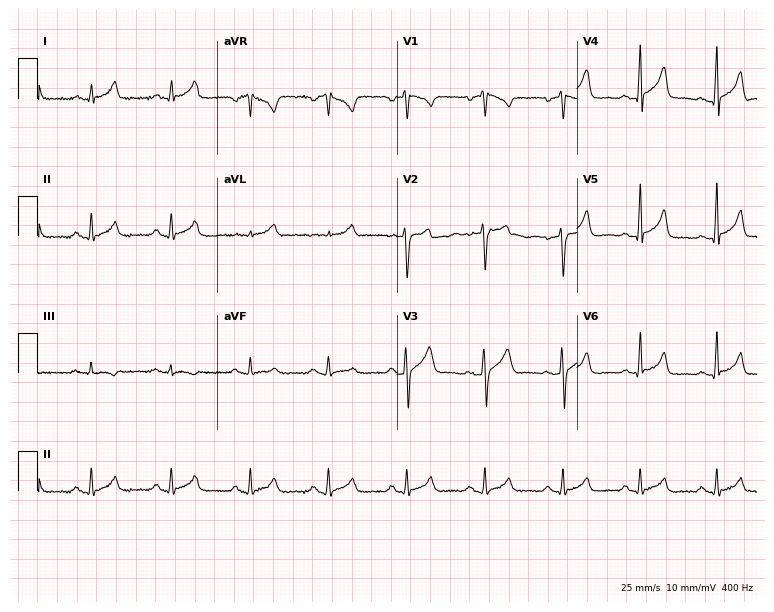
12-lead ECG from a 27-year-old male. No first-degree AV block, right bundle branch block, left bundle branch block, sinus bradycardia, atrial fibrillation or sinus tachycardia recorded for this tracing. Other findings, if any, are not listed.